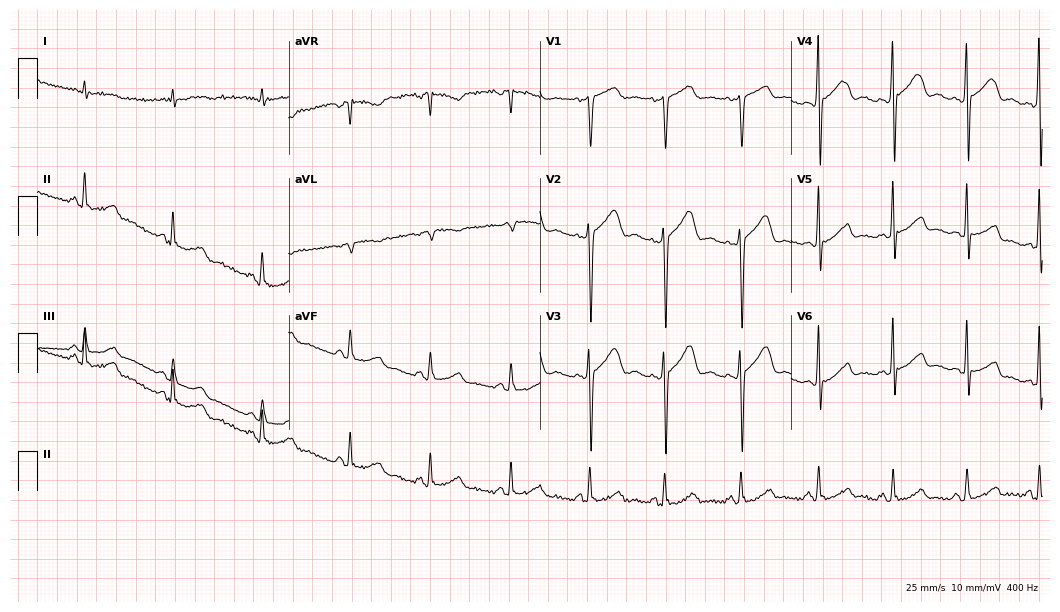
ECG — a man, 61 years old. Labelled as a normal ECG.